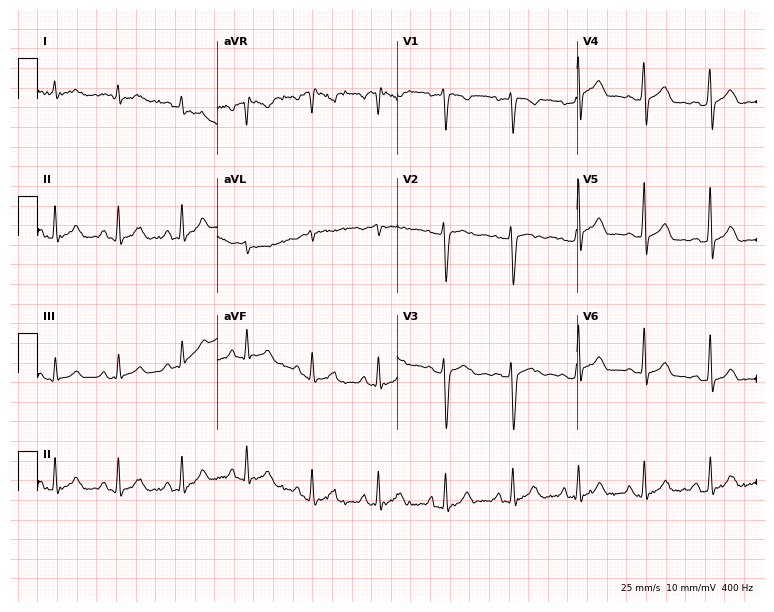
Electrocardiogram, a 27-year-old female. Of the six screened findings (first-degree AV block, right bundle branch block, left bundle branch block, sinus bradycardia, atrial fibrillation, sinus tachycardia), none is recorded. Findings outside these six are not listed.